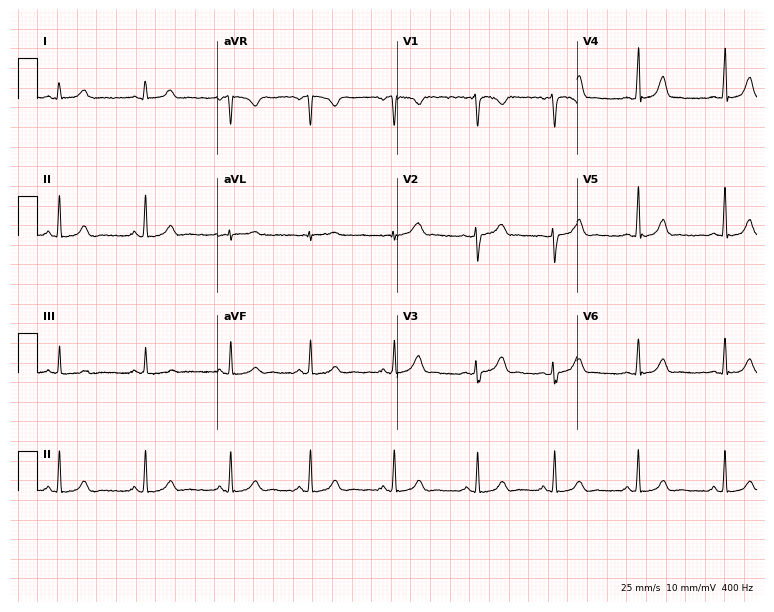
ECG — a 19-year-old woman. Labelled as a normal ECG.